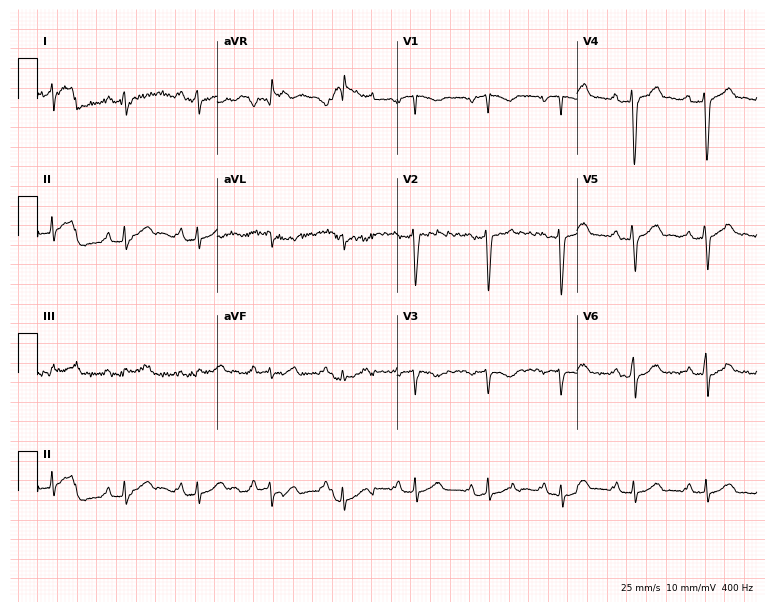
12-lead ECG from a man, 36 years old. No first-degree AV block, right bundle branch block, left bundle branch block, sinus bradycardia, atrial fibrillation or sinus tachycardia recorded for this tracing.